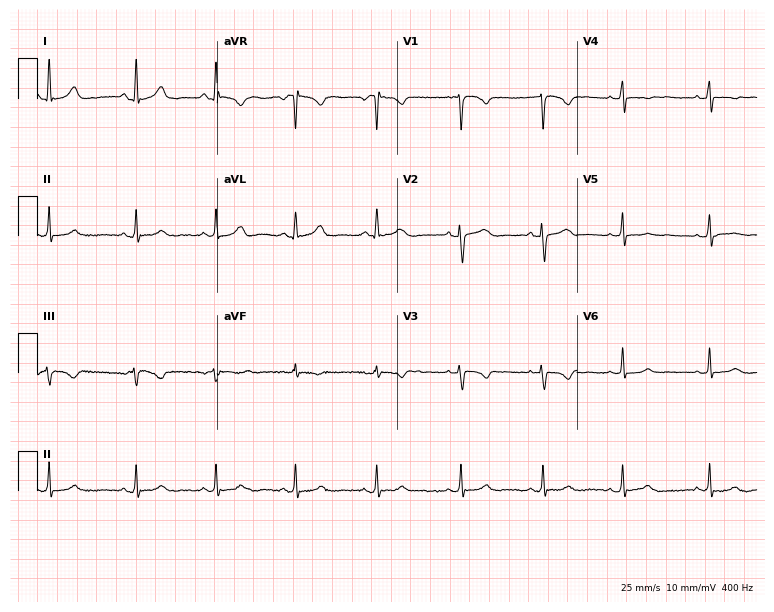
12-lead ECG from a 27-year-old female. Screened for six findings — first-degree AV block, right bundle branch block, left bundle branch block, sinus bradycardia, atrial fibrillation, sinus tachycardia — none is recorded.